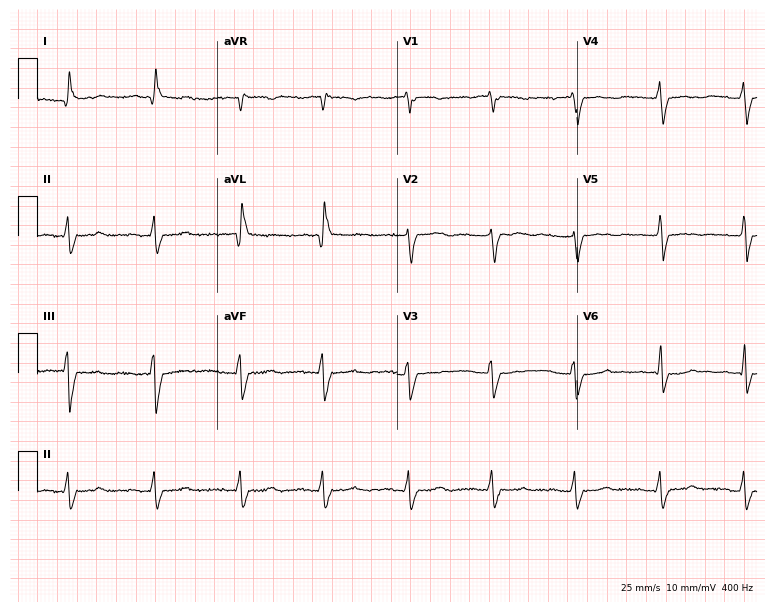
Standard 12-lead ECG recorded from a 38-year-old female (7.3-second recording at 400 Hz). None of these six findings is recorded: first-degree AV block, right bundle branch block, left bundle branch block, sinus bradycardia, atrial fibrillation, sinus tachycardia. Only these six findings were labelled.